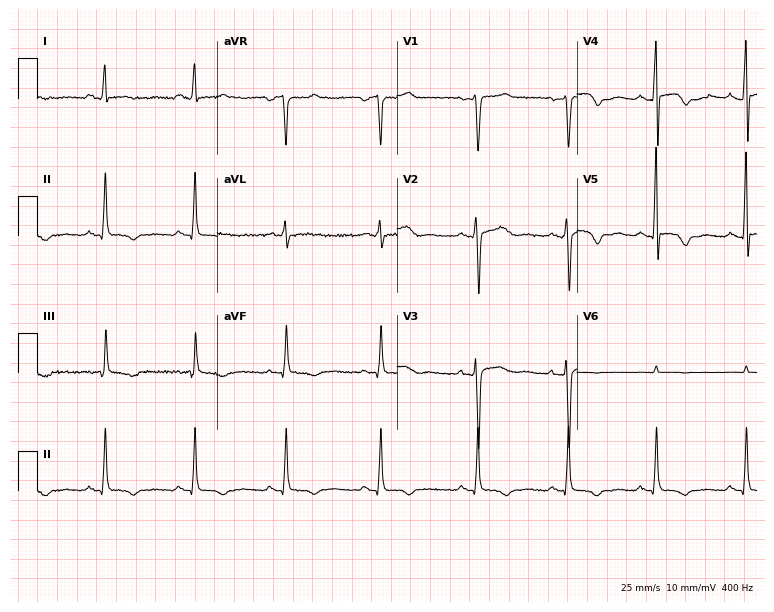
Electrocardiogram, a 50-year-old female patient. Of the six screened findings (first-degree AV block, right bundle branch block (RBBB), left bundle branch block (LBBB), sinus bradycardia, atrial fibrillation (AF), sinus tachycardia), none is recorded. Only these six findings were labelled.